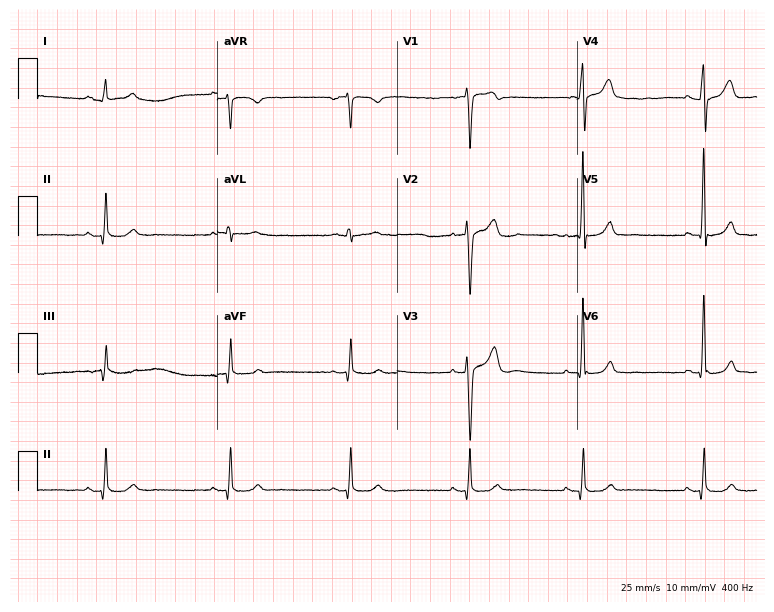
12-lead ECG from a man, 53 years old. Shows sinus bradycardia (a sinus rate of 50 beats per minute or less).